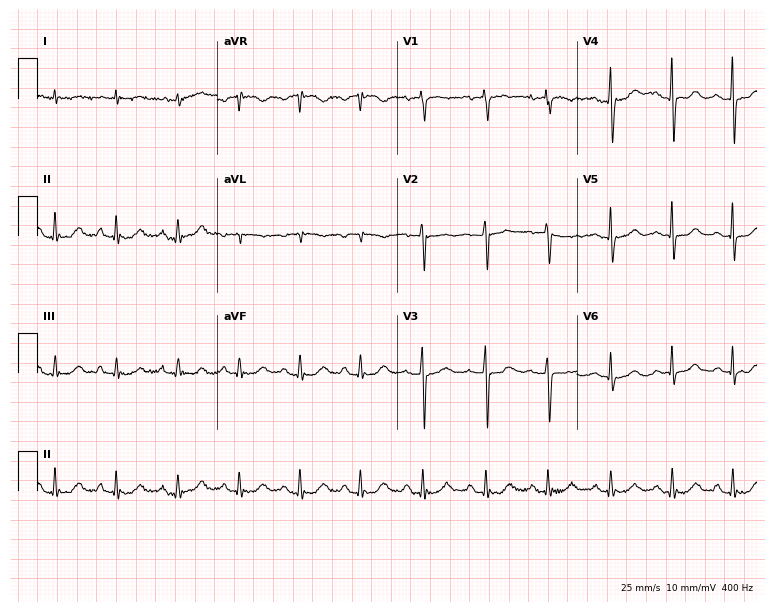
ECG — a 70-year-old male. Labelled as a normal ECG.